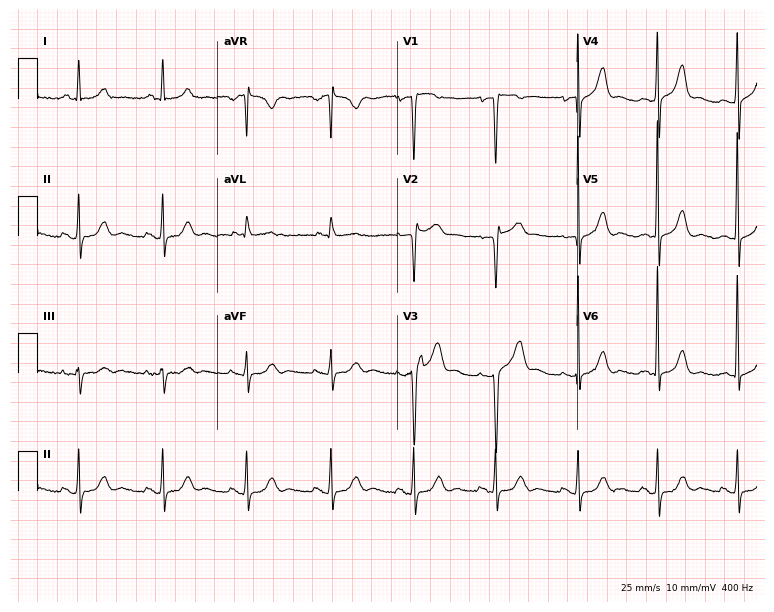
12-lead ECG from a woman, 49 years old. Screened for six findings — first-degree AV block, right bundle branch block, left bundle branch block, sinus bradycardia, atrial fibrillation, sinus tachycardia — none is recorded.